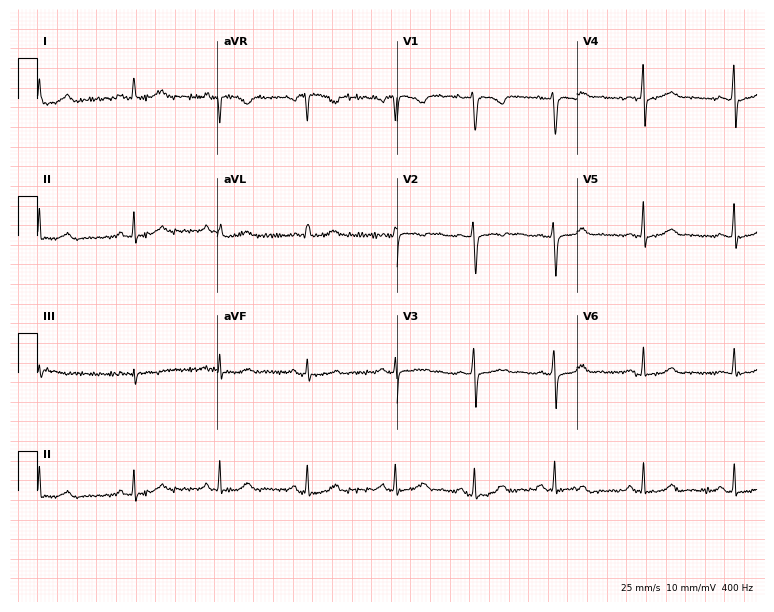
12-lead ECG from a 19-year-old female. Screened for six findings — first-degree AV block, right bundle branch block, left bundle branch block, sinus bradycardia, atrial fibrillation, sinus tachycardia — none is recorded. Findings outside these six are not listed.